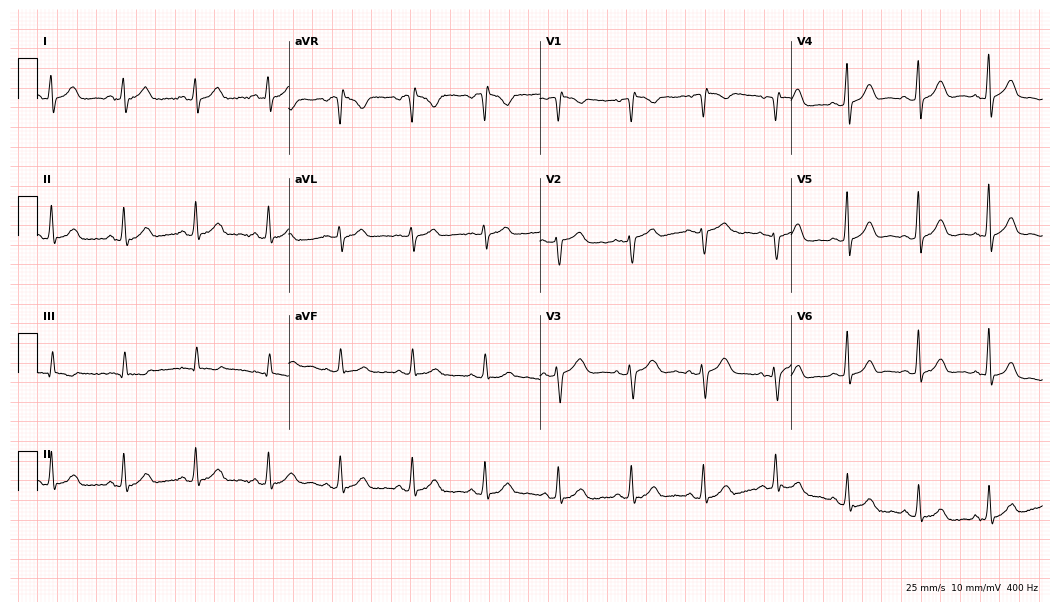
Electrocardiogram (10.2-second recording at 400 Hz), a 53-year-old female. Overall reading on record: normal ECG.